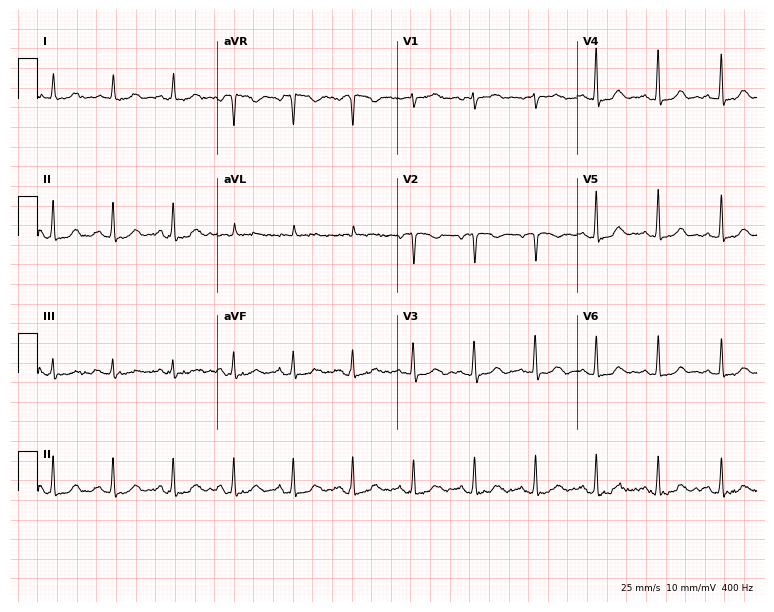
12-lead ECG (7.3-second recording at 400 Hz) from a 47-year-old woman. Screened for six findings — first-degree AV block, right bundle branch block (RBBB), left bundle branch block (LBBB), sinus bradycardia, atrial fibrillation (AF), sinus tachycardia — none is recorded. Only these six findings were labelled.